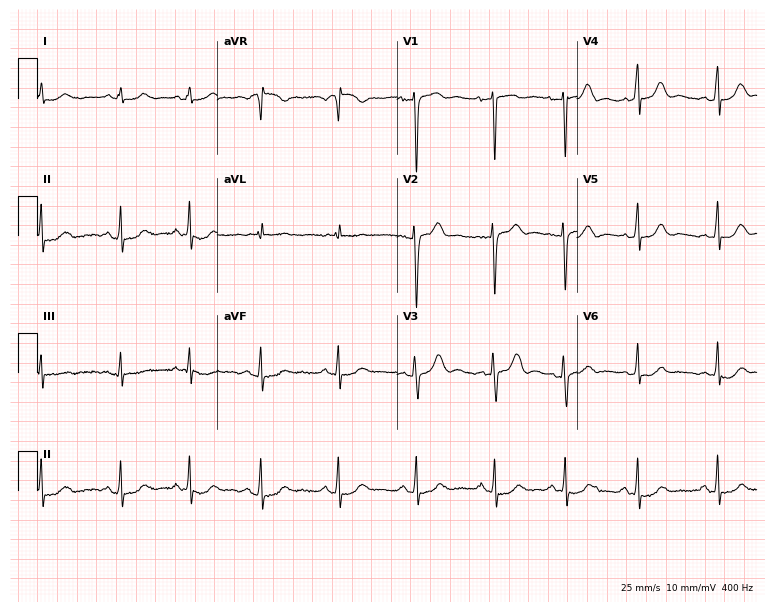
Electrocardiogram, a female patient, 19 years old. Overall reading on record: normal ECG.